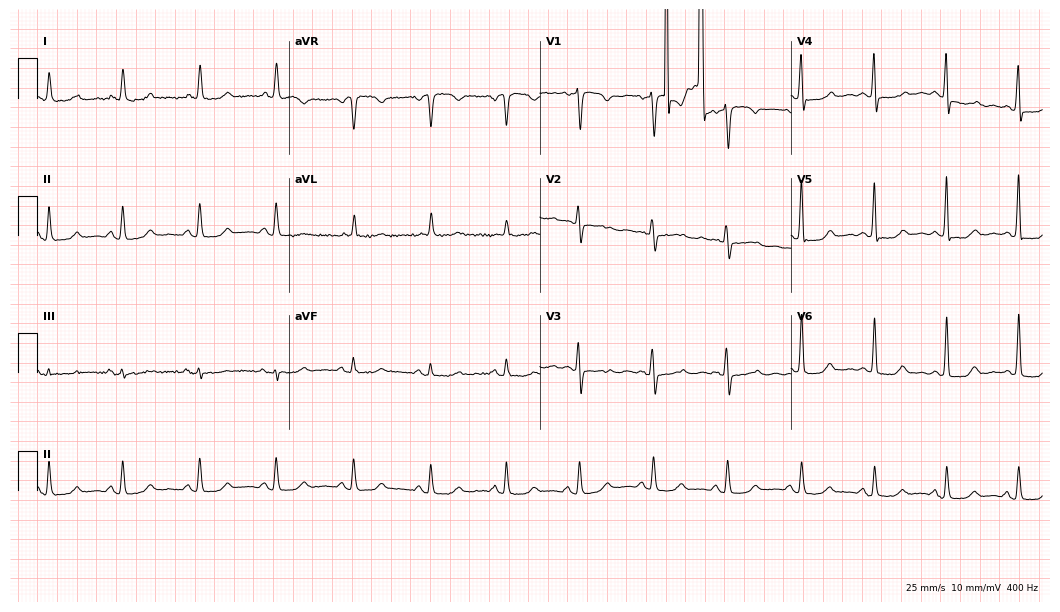
Standard 12-lead ECG recorded from a woman, 72 years old (10.2-second recording at 400 Hz). None of these six findings is recorded: first-degree AV block, right bundle branch block, left bundle branch block, sinus bradycardia, atrial fibrillation, sinus tachycardia. Findings outside these six are not listed.